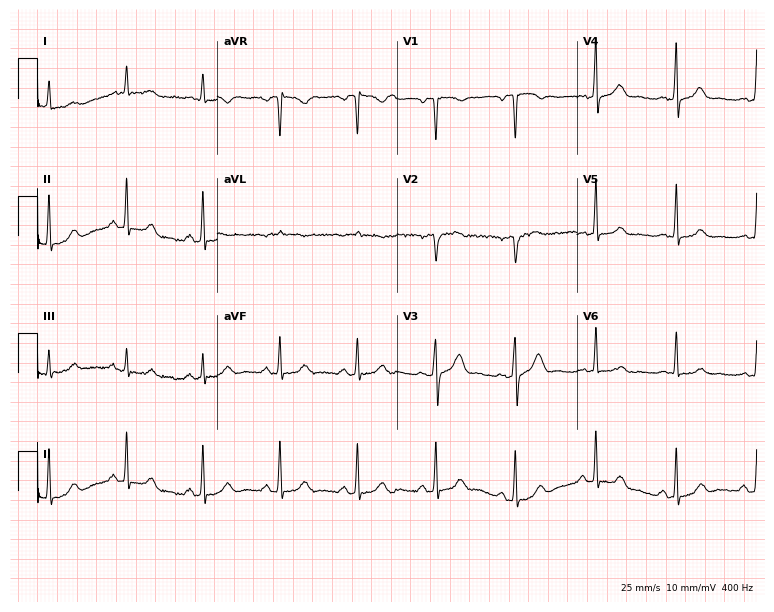
12-lead ECG from a male patient, 45 years old. Labelled as a normal ECG.